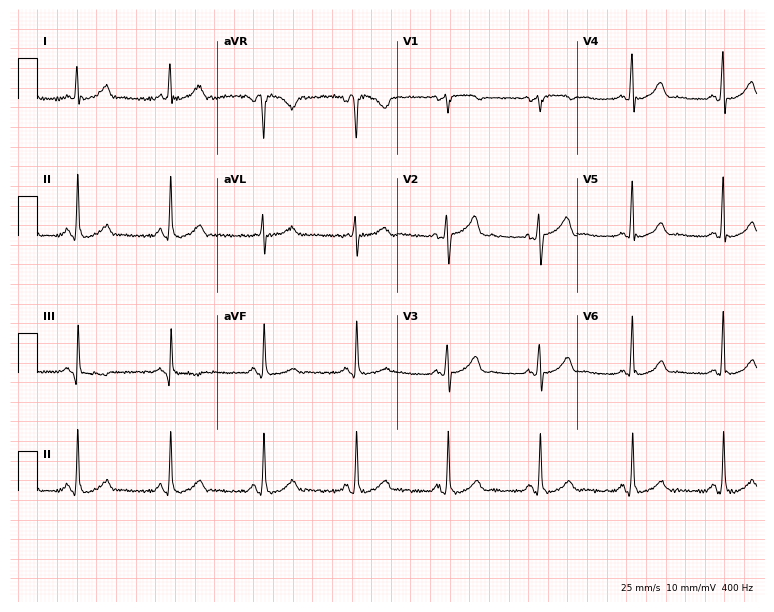
12-lead ECG from a male, 54 years old. Labelled as a normal ECG.